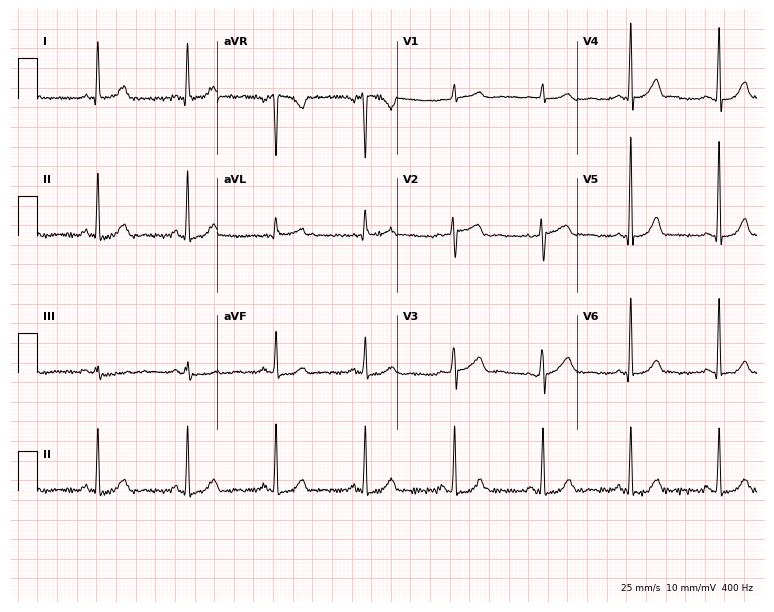
ECG — a female, 55 years old. Labelled as a normal ECG.